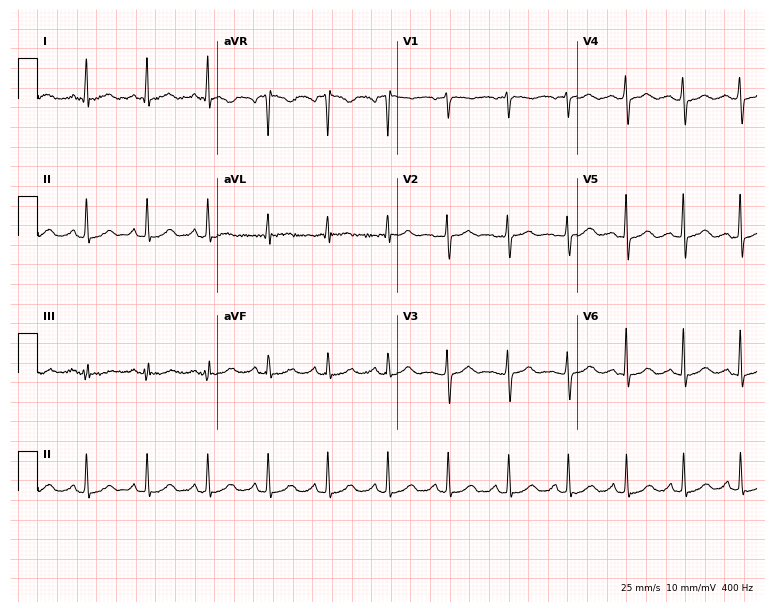
Standard 12-lead ECG recorded from a 56-year-old female patient (7.3-second recording at 400 Hz). Read as a normal ECG.